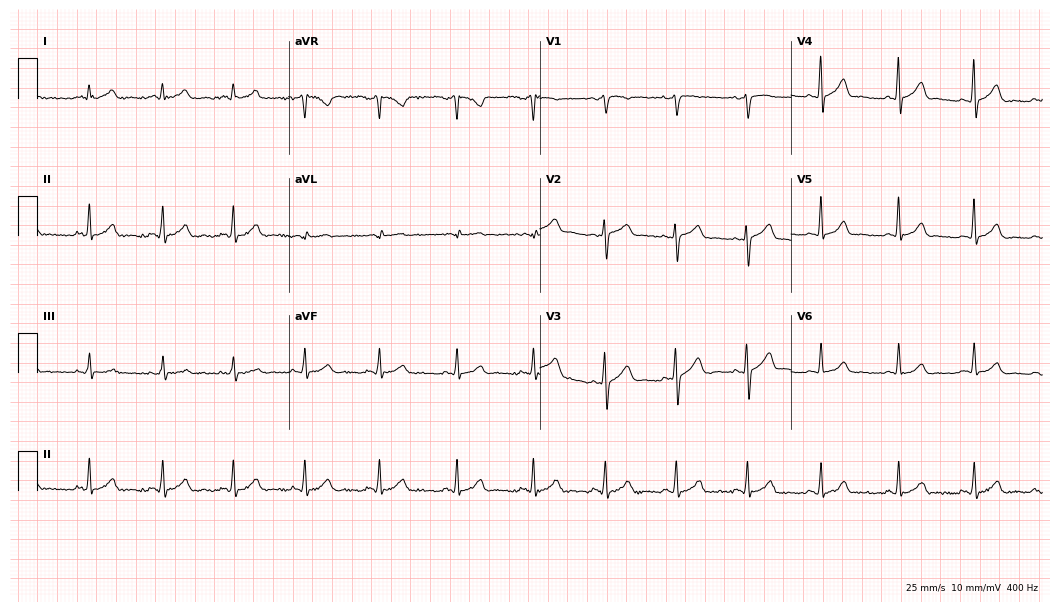
Standard 12-lead ECG recorded from a 45-year-old woman. Read as a normal ECG.